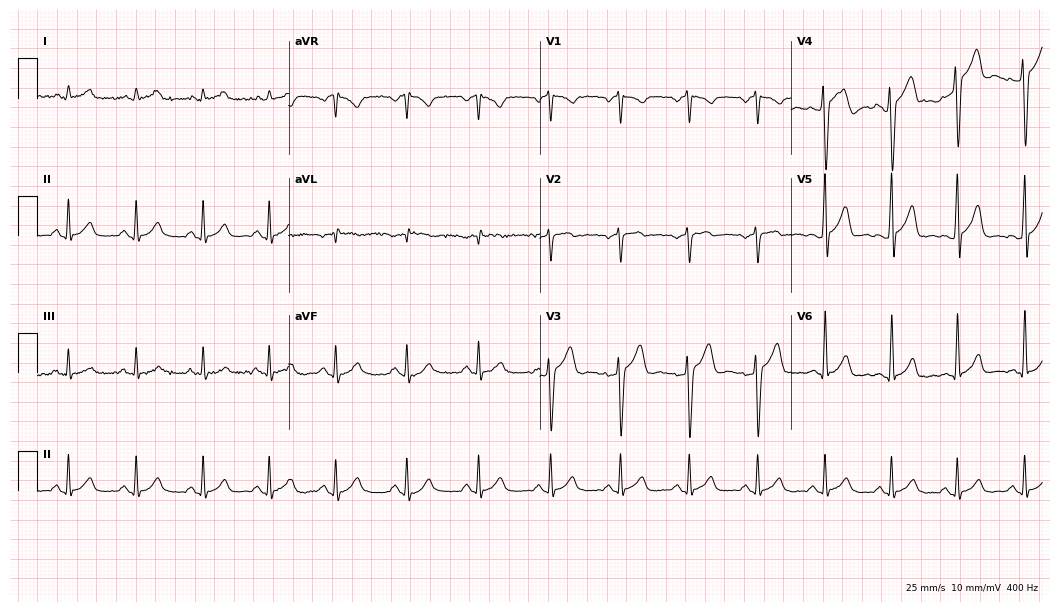
ECG — a 37-year-old male. Labelled as a normal ECG.